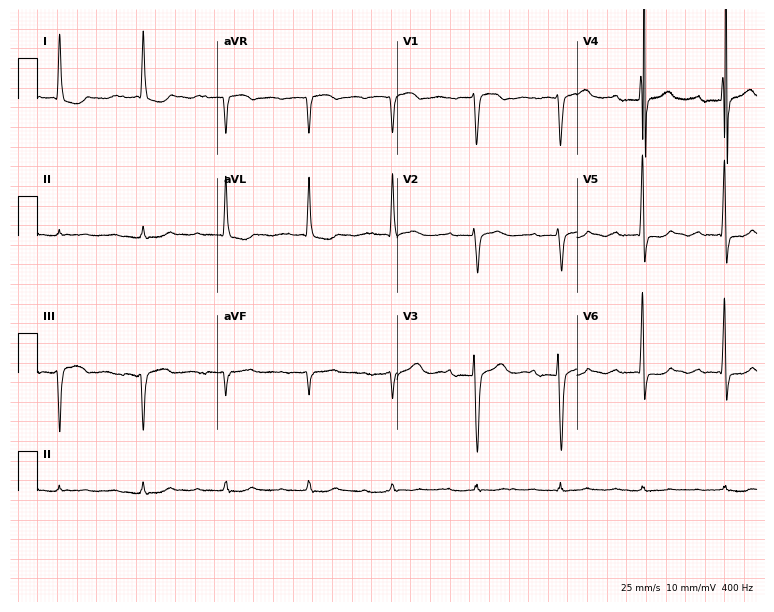
Standard 12-lead ECG recorded from a woman, 76 years old. The tracing shows first-degree AV block.